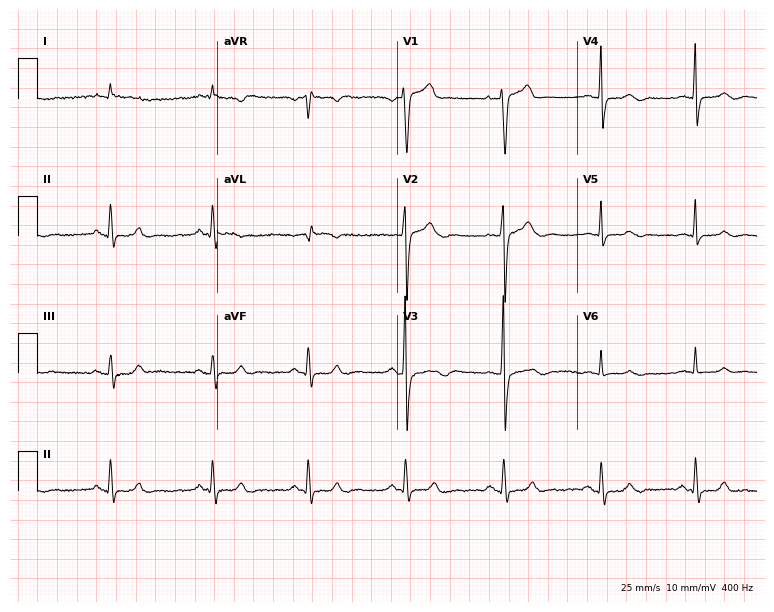
12-lead ECG from a male, 64 years old. Recorded interpretation: within normal limits.